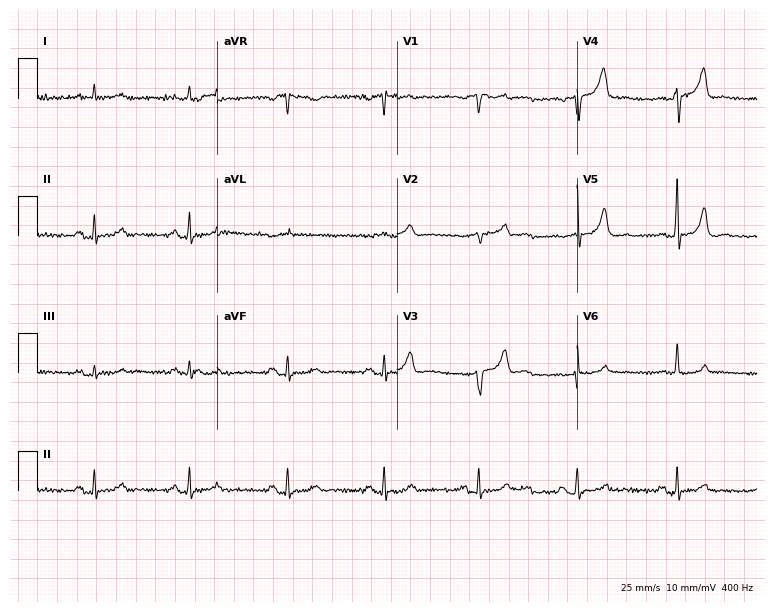
ECG (7.3-second recording at 400 Hz) — a male, 75 years old. Labelled as a normal ECG.